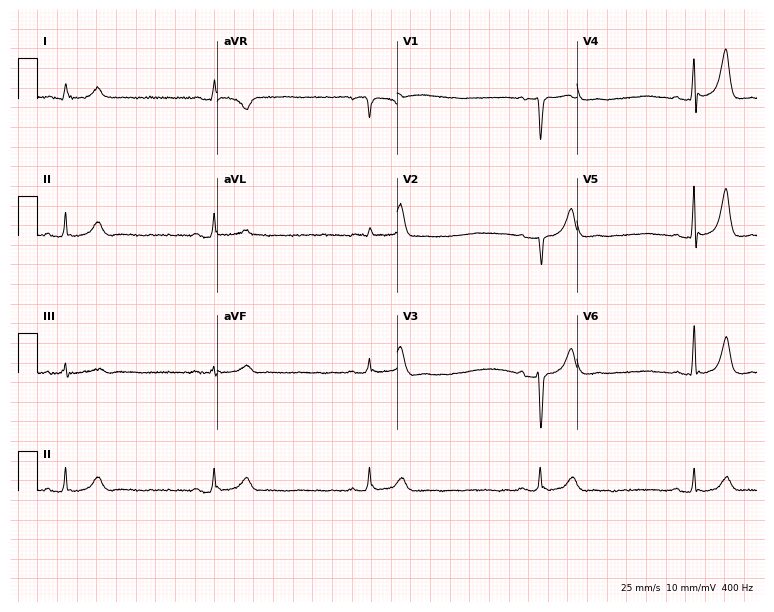
ECG (7.3-second recording at 400 Hz) — a male patient, 72 years old. Findings include sinus bradycardia (a sinus rate of 50 beats per minute or less).